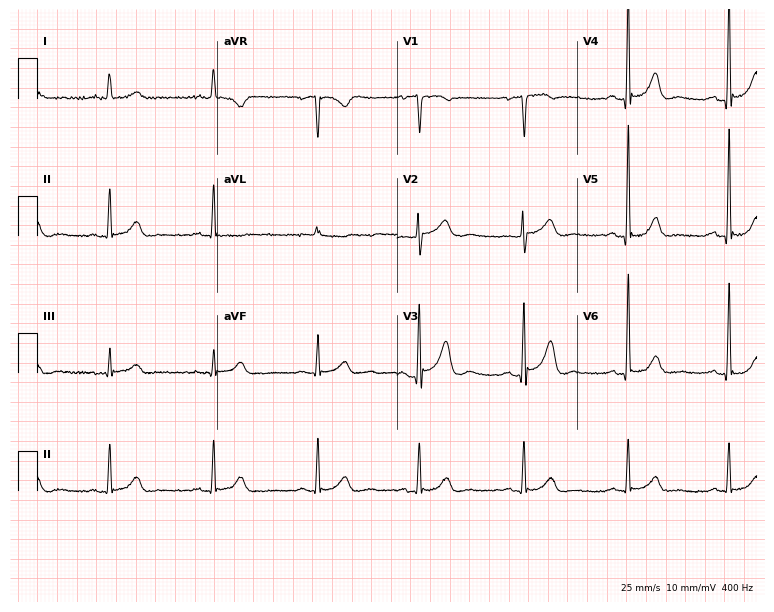
ECG (7.3-second recording at 400 Hz) — a male, 82 years old. Screened for six findings — first-degree AV block, right bundle branch block (RBBB), left bundle branch block (LBBB), sinus bradycardia, atrial fibrillation (AF), sinus tachycardia — none is recorded. Only these six findings were labelled.